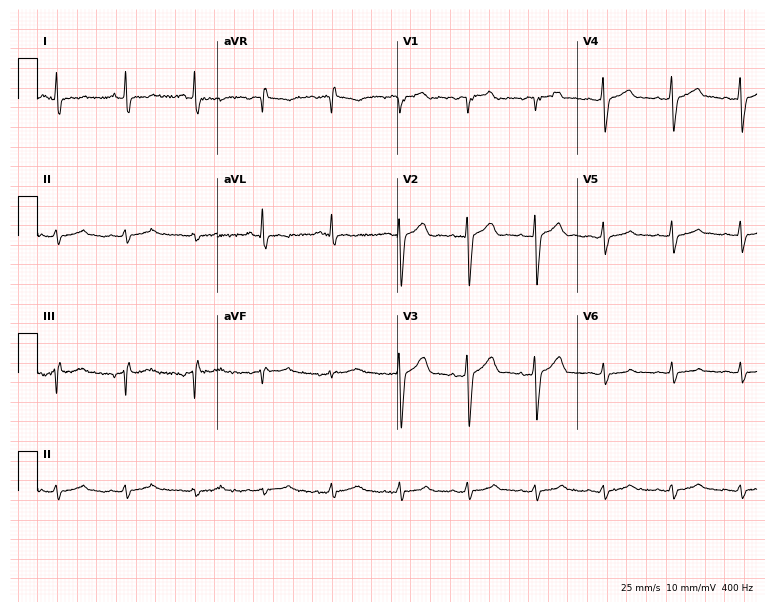
12-lead ECG from a 74-year-old male. No first-degree AV block, right bundle branch block, left bundle branch block, sinus bradycardia, atrial fibrillation or sinus tachycardia recorded for this tracing. Other findings, if any, are not listed.